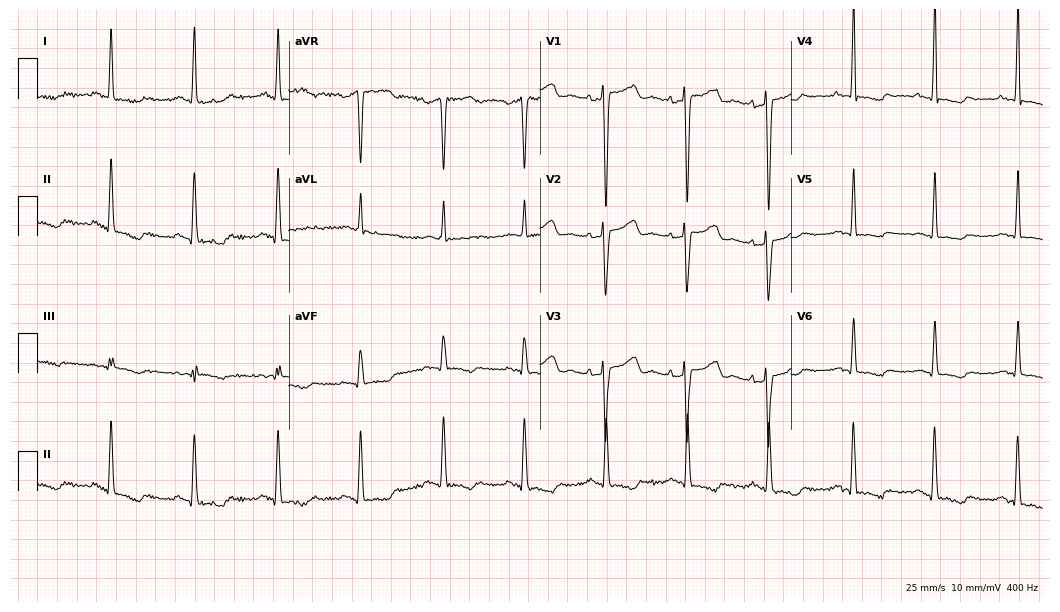
Standard 12-lead ECG recorded from a female, 50 years old (10.2-second recording at 400 Hz). None of these six findings is recorded: first-degree AV block, right bundle branch block (RBBB), left bundle branch block (LBBB), sinus bradycardia, atrial fibrillation (AF), sinus tachycardia.